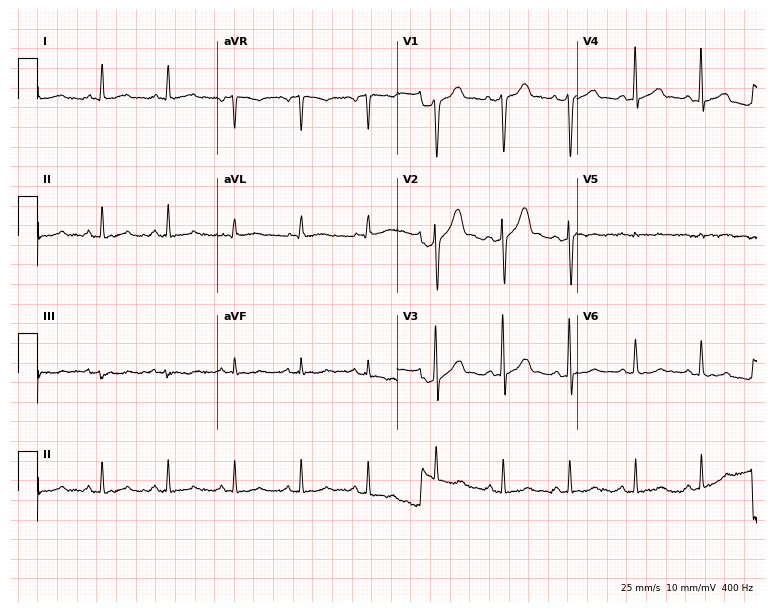
Resting 12-lead electrocardiogram (7.3-second recording at 400 Hz). Patient: a male, 52 years old. None of these six findings is recorded: first-degree AV block, right bundle branch block, left bundle branch block, sinus bradycardia, atrial fibrillation, sinus tachycardia. Only these six findings were labelled.